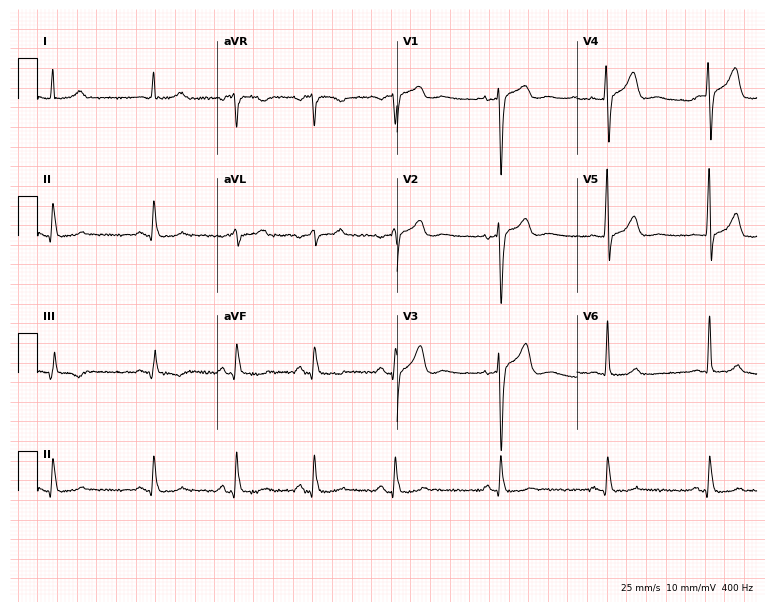
12-lead ECG from a 73-year-old male patient. Screened for six findings — first-degree AV block, right bundle branch block, left bundle branch block, sinus bradycardia, atrial fibrillation, sinus tachycardia — none is recorded.